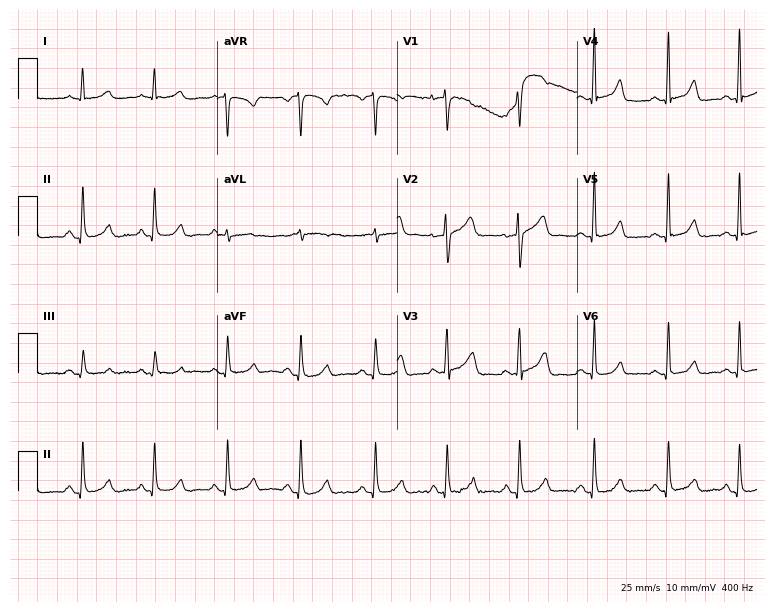
12-lead ECG from a female, 60 years old. Recorded interpretation: within normal limits.